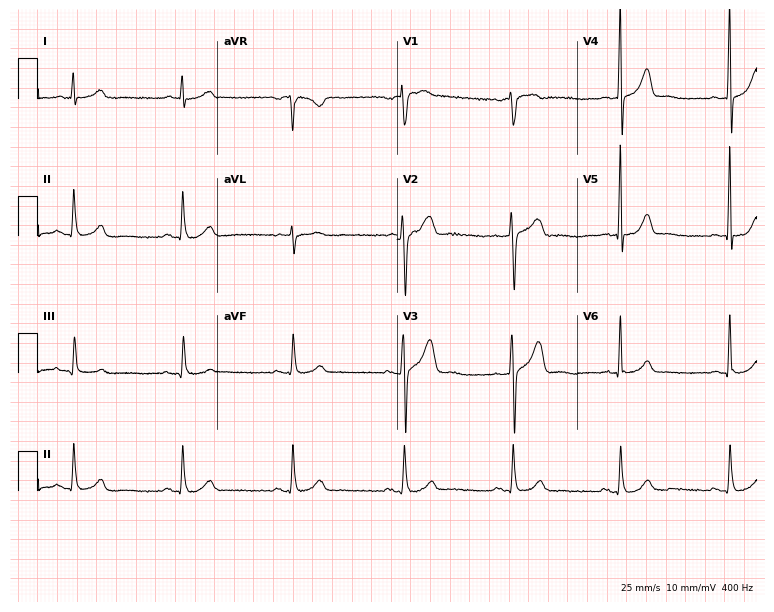
Standard 12-lead ECG recorded from a male, 58 years old (7.3-second recording at 400 Hz). Read as a normal ECG.